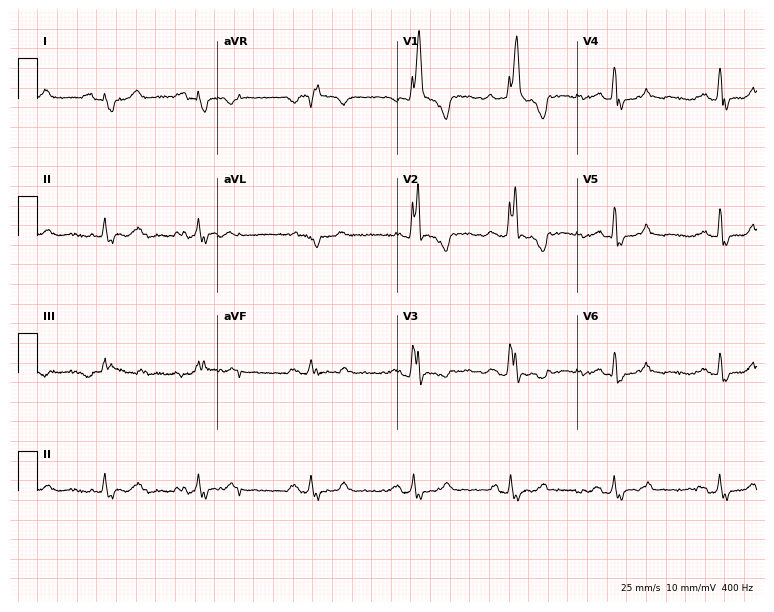
Standard 12-lead ECG recorded from a female patient, 58 years old (7.3-second recording at 400 Hz). The tracing shows right bundle branch block (RBBB).